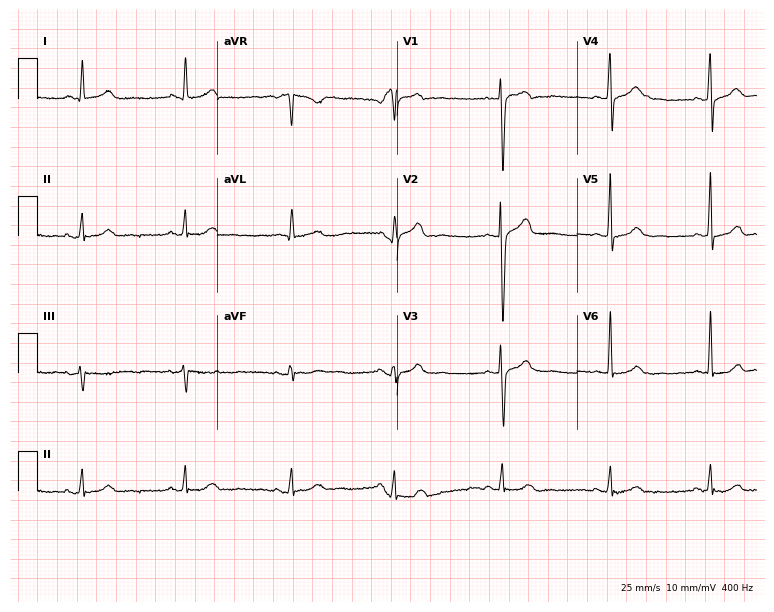
Resting 12-lead electrocardiogram (7.3-second recording at 400 Hz). Patient: a female, 59 years old. Read as a normal ECG.